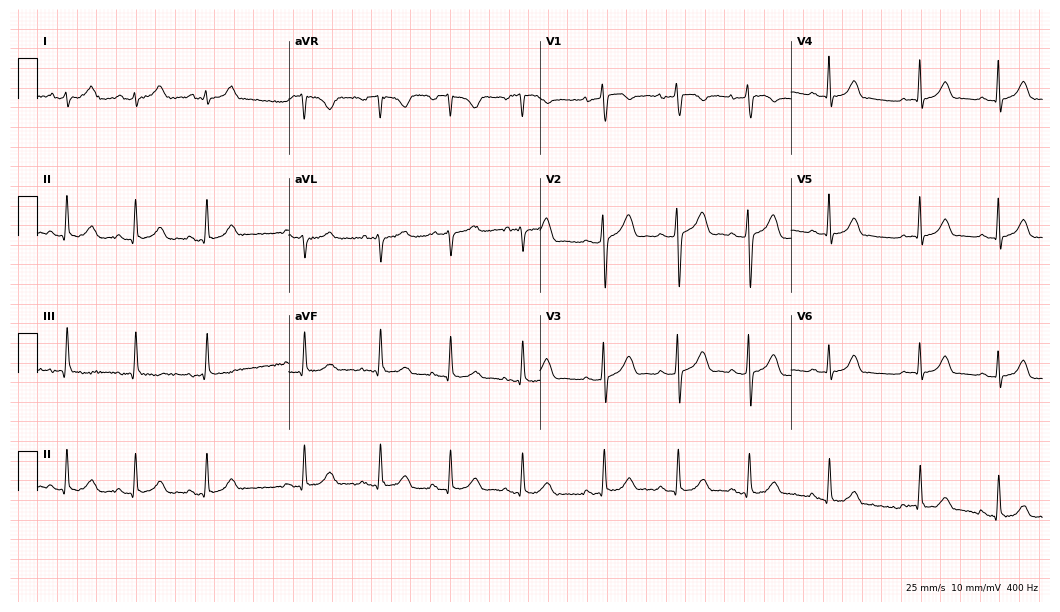
Standard 12-lead ECG recorded from a female, 25 years old. Read as a normal ECG.